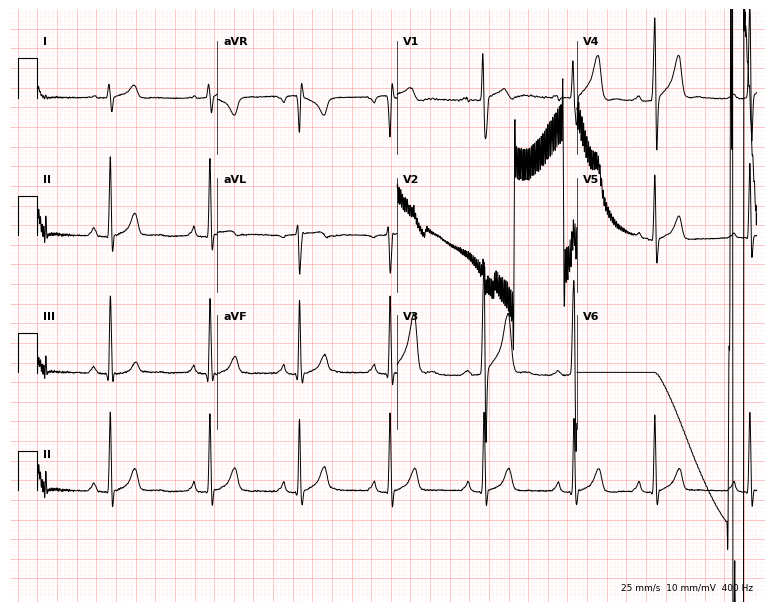
12-lead ECG from an 18-year-old male patient (7.3-second recording at 400 Hz). No first-degree AV block, right bundle branch block, left bundle branch block, sinus bradycardia, atrial fibrillation or sinus tachycardia recorded for this tracing. Findings outside these six are not listed.